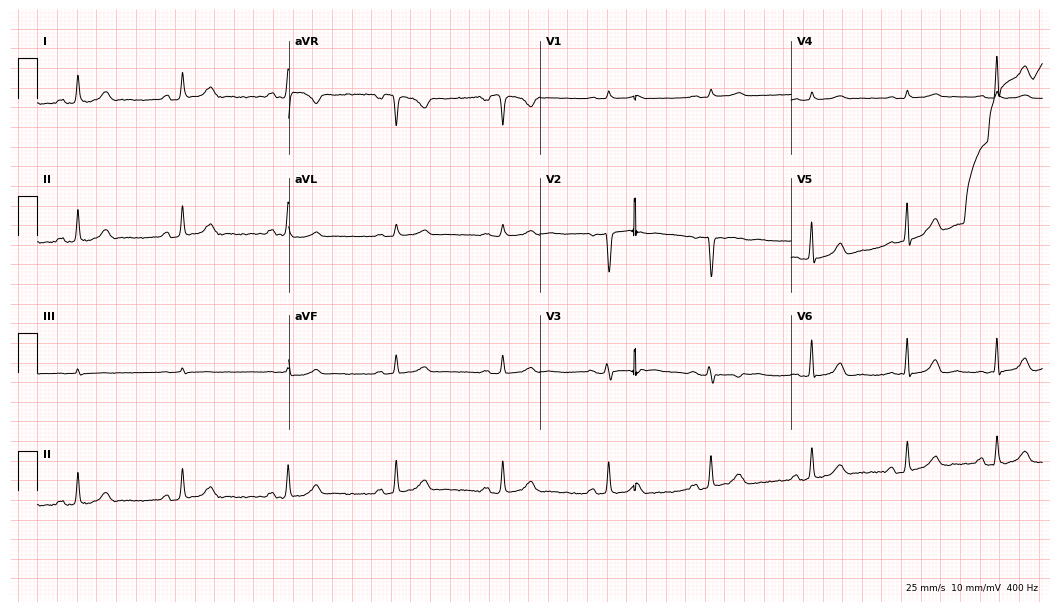
Electrocardiogram (10.2-second recording at 400 Hz), a female patient, 27 years old. Of the six screened findings (first-degree AV block, right bundle branch block, left bundle branch block, sinus bradycardia, atrial fibrillation, sinus tachycardia), none is recorded. Only these six findings were labelled.